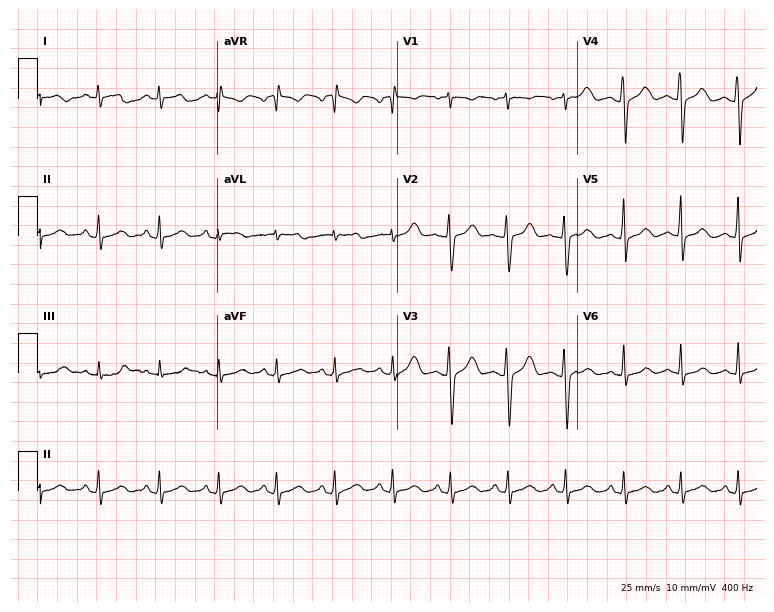
Electrocardiogram, a female patient, 28 years old. Interpretation includes sinus tachycardia (a sinus rate of 100 beats per minute or more).